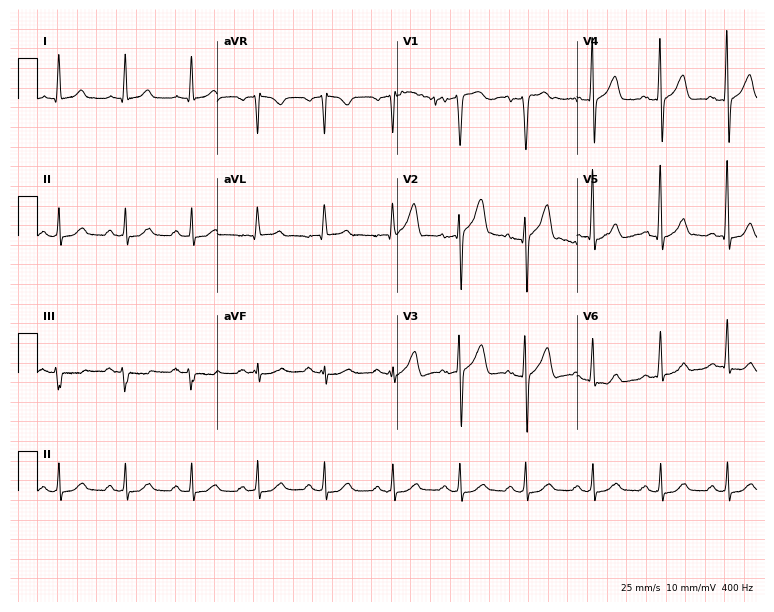
12-lead ECG (7.3-second recording at 400 Hz) from a man, 63 years old. Labelled as a normal ECG.